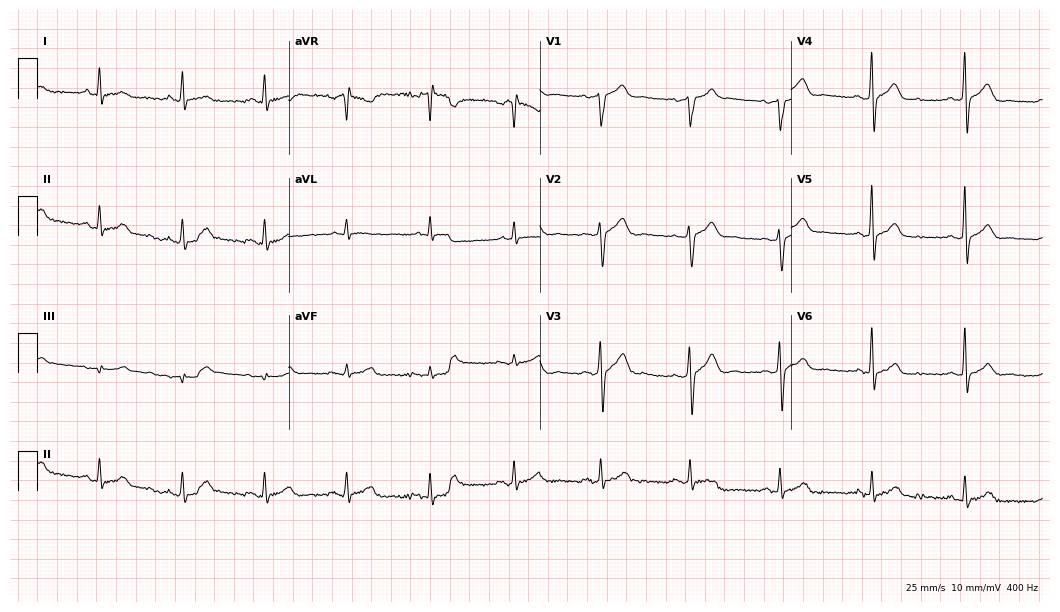
ECG (10.2-second recording at 400 Hz) — a 43-year-old male patient. Screened for six findings — first-degree AV block, right bundle branch block (RBBB), left bundle branch block (LBBB), sinus bradycardia, atrial fibrillation (AF), sinus tachycardia — none is recorded.